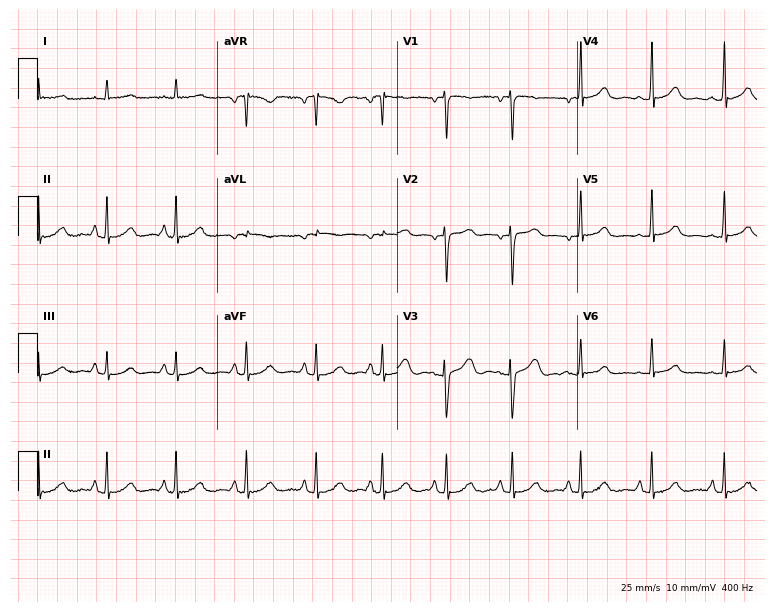
Standard 12-lead ECG recorded from a female patient, 47 years old. Read as a normal ECG.